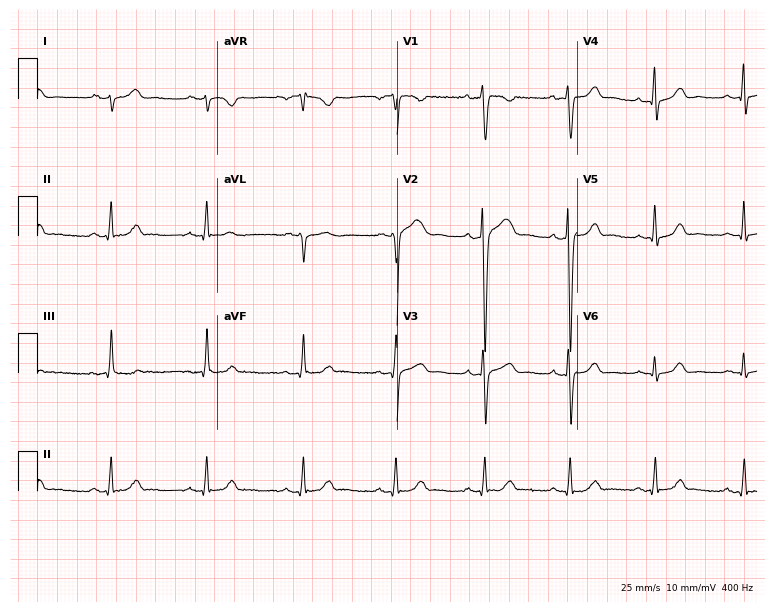
Resting 12-lead electrocardiogram (7.3-second recording at 400 Hz). Patient: a 37-year-old male. Read as a normal ECG.